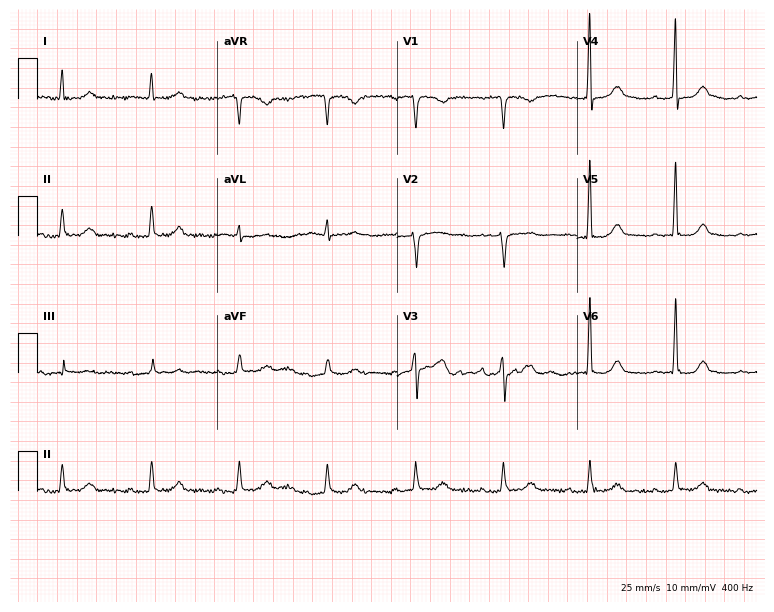
Resting 12-lead electrocardiogram (7.3-second recording at 400 Hz). Patient: an 84-year-old male. None of these six findings is recorded: first-degree AV block, right bundle branch block, left bundle branch block, sinus bradycardia, atrial fibrillation, sinus tachycardia. Findings outside these six are not listed.